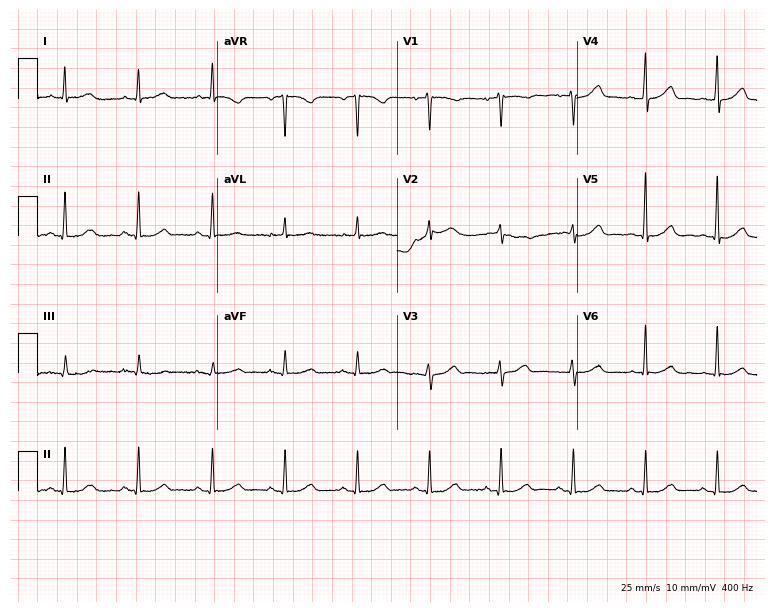
12-lead ECG from a woman, 77 years old (7.3-second recording at 400 Hz). Recorded interpretation: within normal limits.